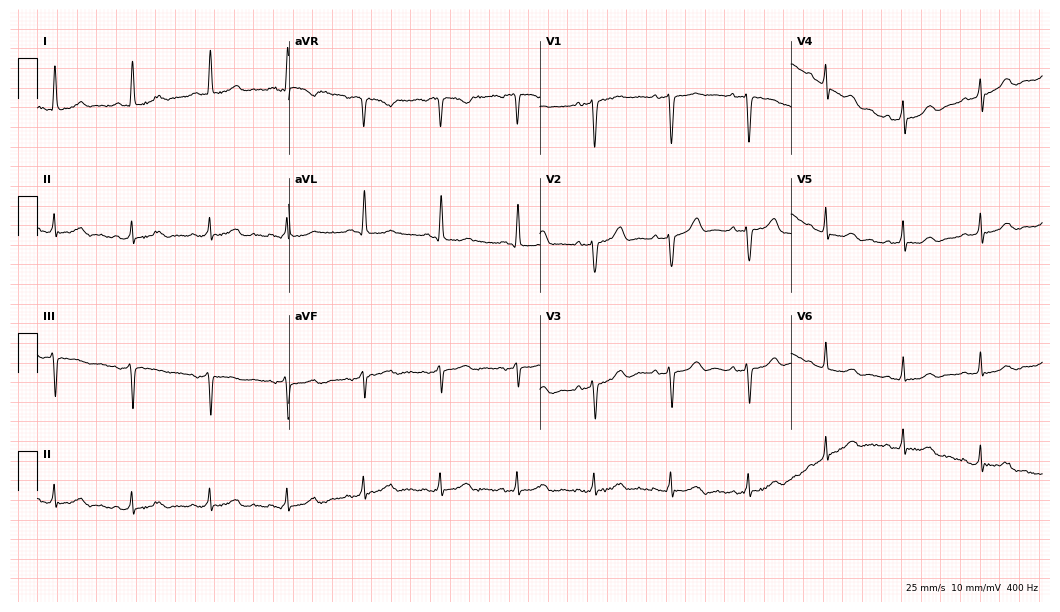
12-lead ECG (10.2-second recording at 400 Hz) from a female patient, 69 years old. Screened for six findings — first-degree AV block, right bundle branch block, left bundle branch block, sinus bradycardia, atrial fibrillation, sinus tachycardia — none is recorded. Only these six findings were labelled.